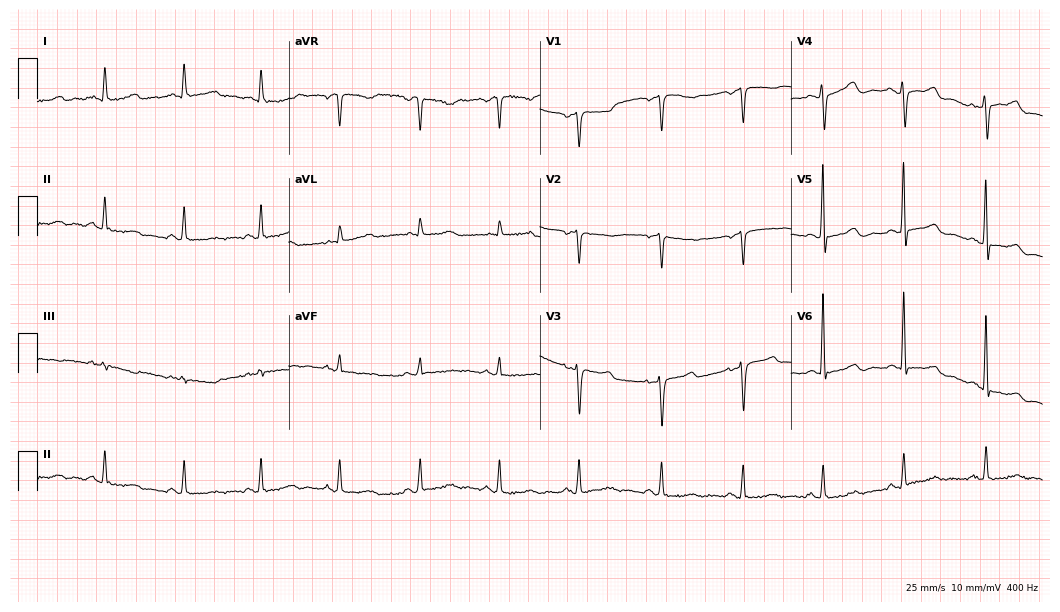
Resting 12-lead electrocardiogram (10.2-second recording at 400 Hz). Patient: a woman, 57 years old. None of these six findings is recorded: first-degree AV block, right bundle branch block, left bundle branch block, sinus bradycardia, atrial fibrillation, sinus tachycardia.